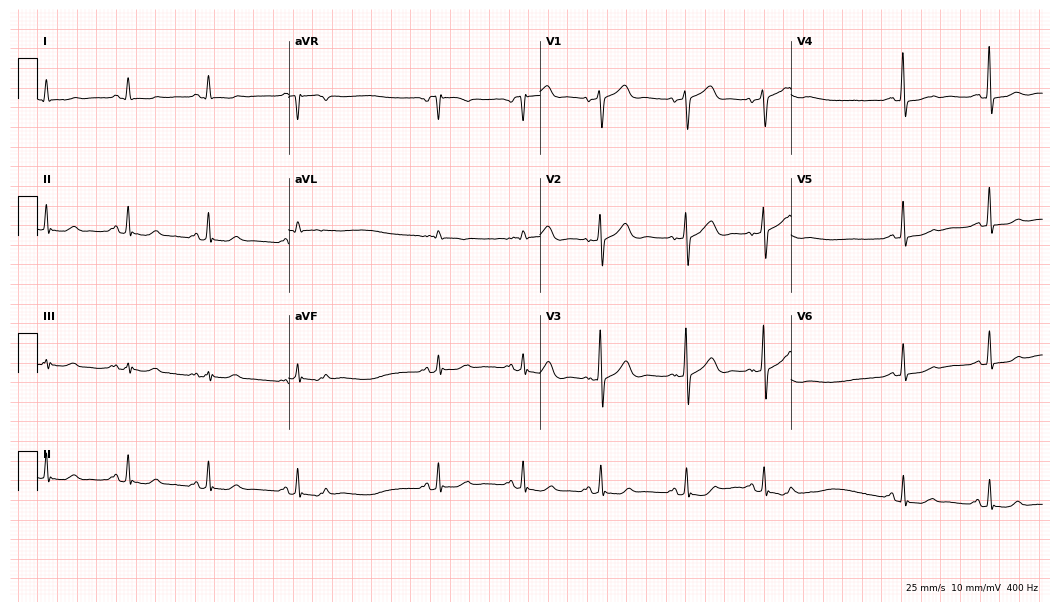
Standard 12-lead ECG recorded from a male patient, 79 years old. Read as a normal ECG.